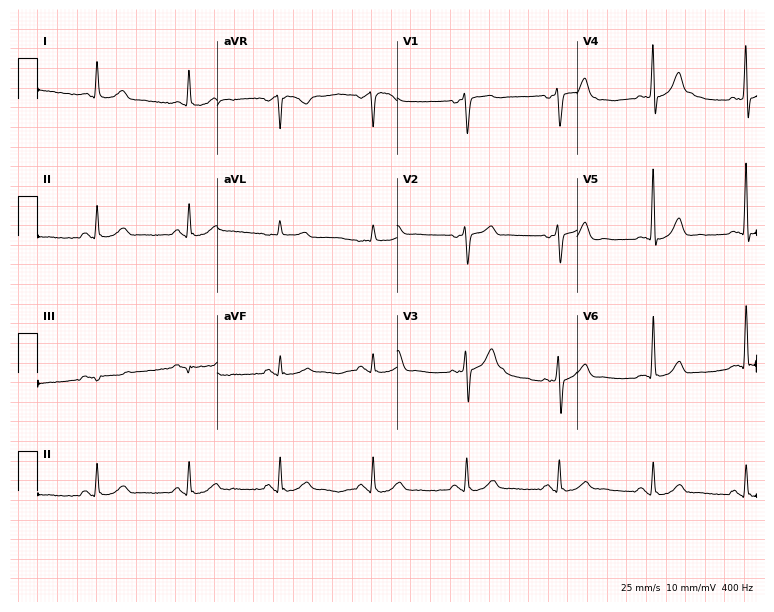
Electrocardiogram, a 68-year-old male patient. Of the six screened findings (first-degree AV block, right bundle branch block, left bundle branch block, sinus bradycardia, atrial fibrillation, sinus tachycardia), none is recorded. Findings outside these six are not listed.